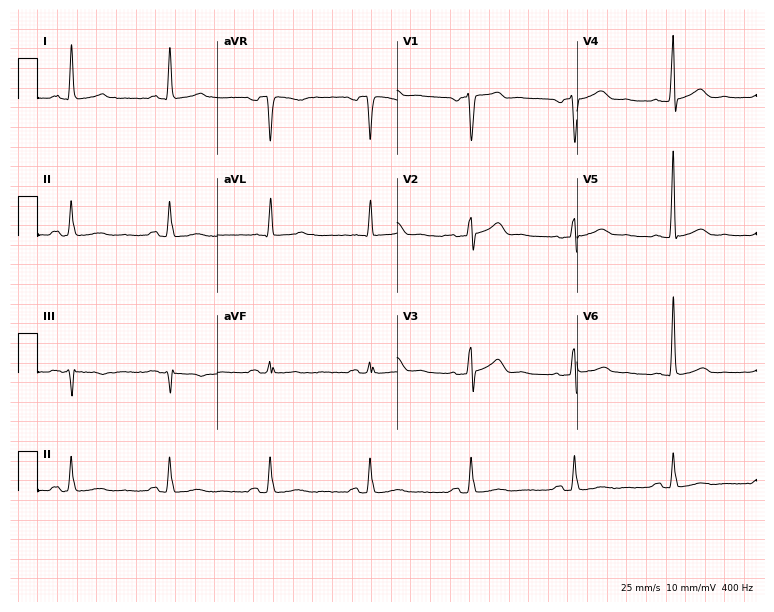
Standard 12-lead ECG recorded from a man, 61 years old. None of these six findings is recorded: first-degree AV block, right bundle branch block, left bundle branch block, sinus bradycardia, atrial fibrillation, sinus tachycardia. Findings outside these six are not listed.